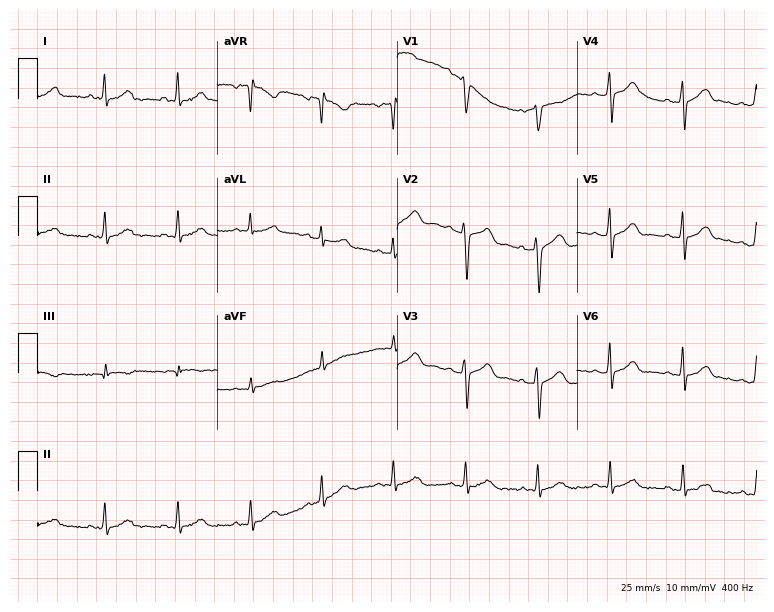
12-lead ECG from a 38-year-old male patient. No first-degree AV block, right bundle branch block (RBBB), left bundle branch block (LBBB), sinus bradycardia, atrial fibrillation (AF) or sinus tachycardia recorded for this tracing.